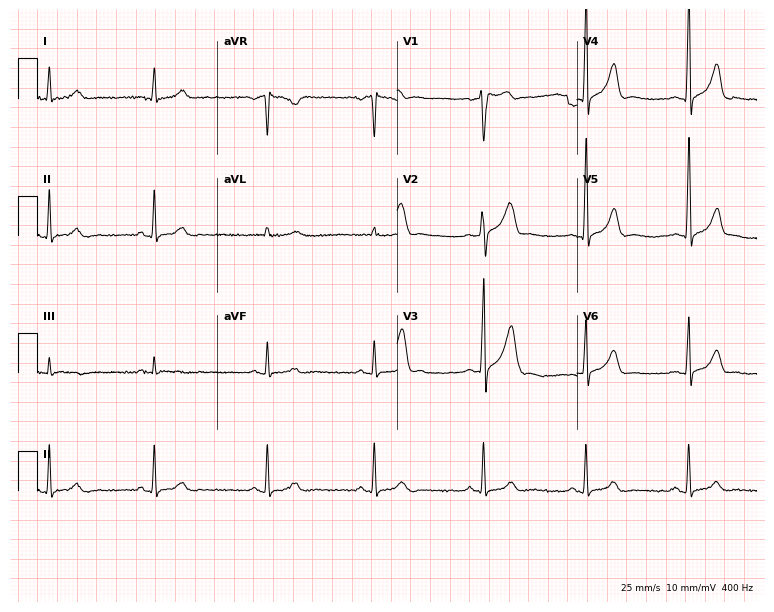
ECG — a male, 39 years old. Labelled as a normal ECG.